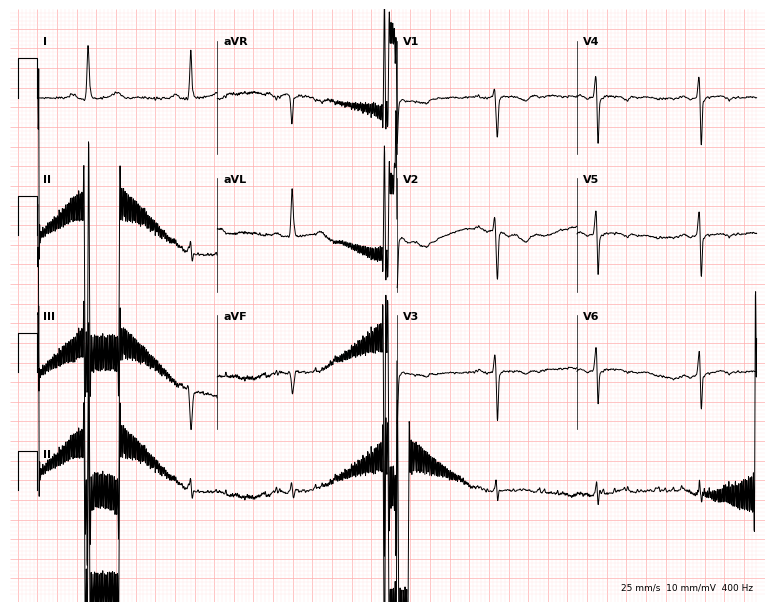
Resting 12-lead electrocardiogram. Patient: a 58-year-old woman. The tracing shows sinus bradycardia (a sinus rate of 50 beats per minute or less).